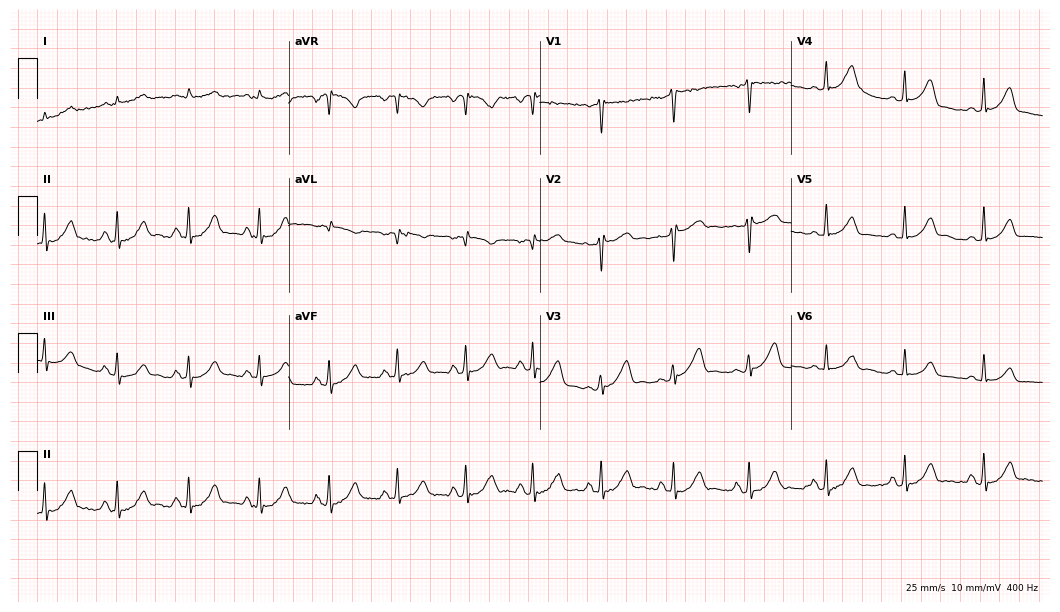
ECG — a man, 43 years old. Labelled as a normal ECG.